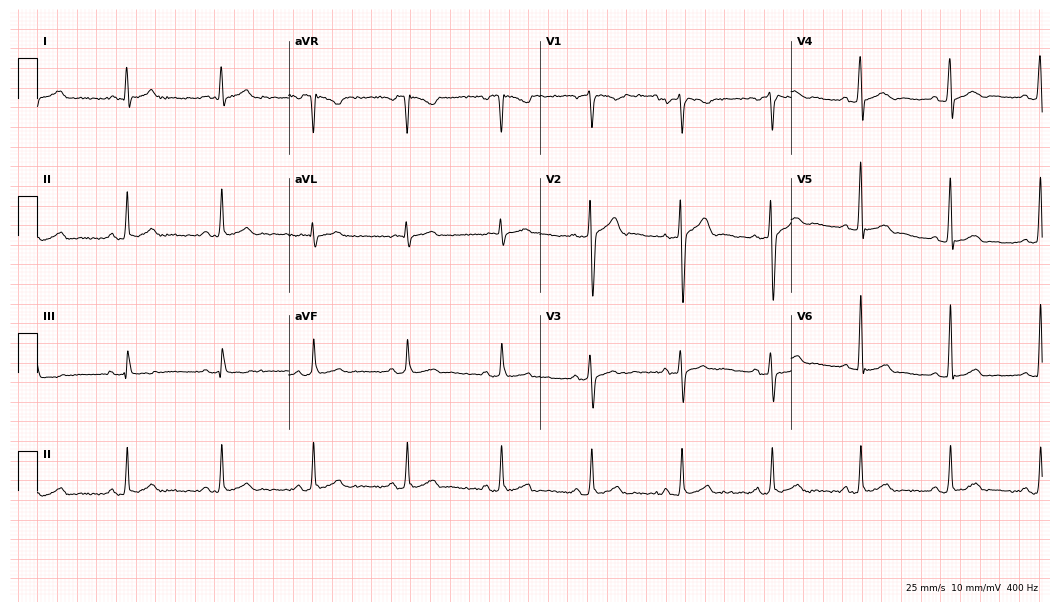
Standard 12-lead ECG recorded from a 33-year-old male patient. Read as a normal ECG.